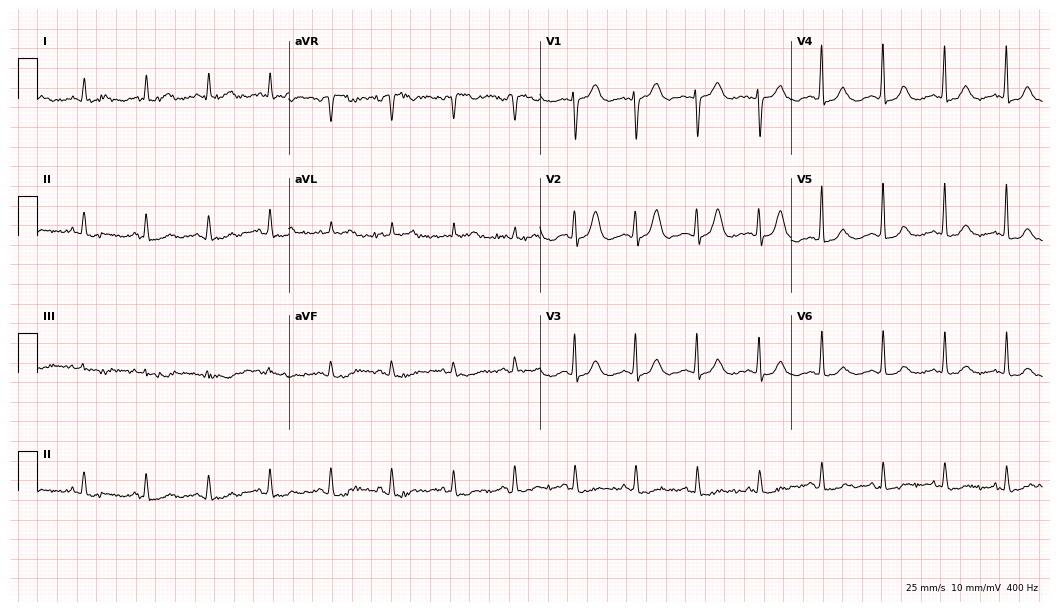
Electrocardiogram, an 80-year-old woman. Overall reading on record: normal ECG.